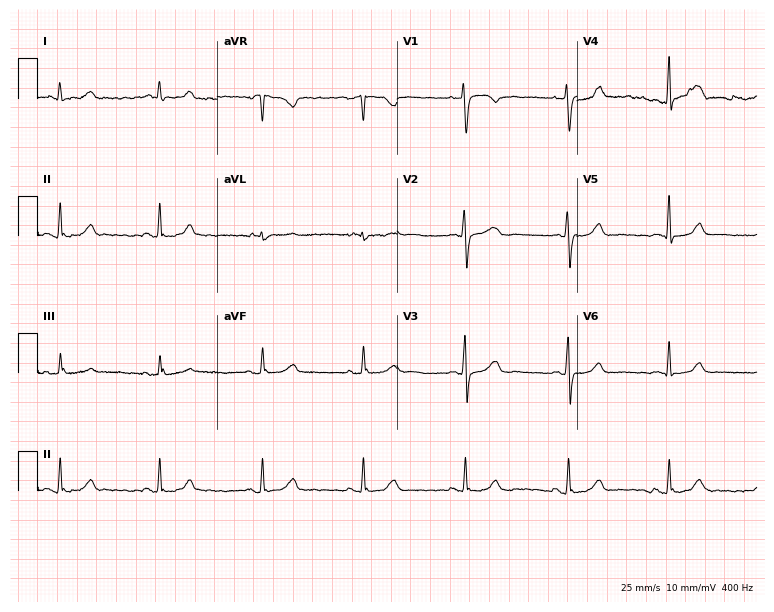
Resting 12-lead electrocardiogram. Patient: a 51-year-old female. Read as a normal ECG.